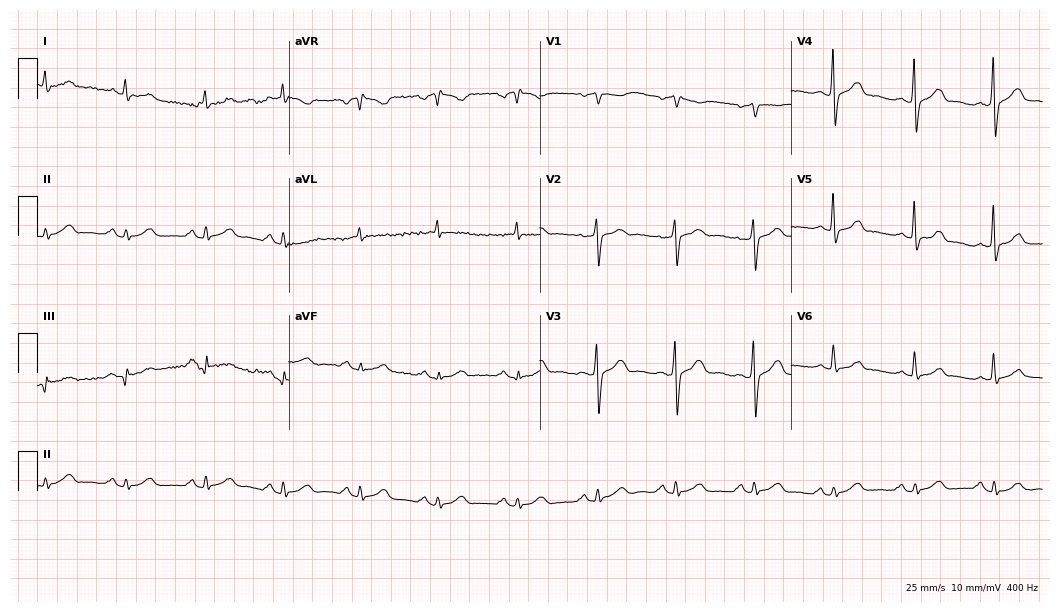
Electrocardiogram (10.2-second recording at 400 Hz), a 61-year-old male patient. Of the six screened findings (first-degree AV block, right bundle branch block (RBBB), left bundle branch block (LBBB), sinus bradycardia, atrial fibrillation (AF), sinus tachycardia), none is recorded.